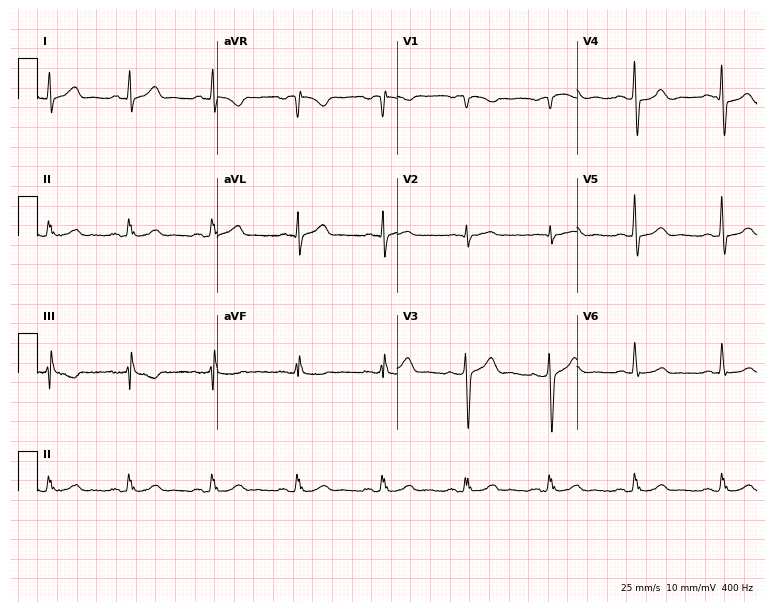
Electrocardiogram, a 57-year-old male patient. Of the six screened findings (first-degree AV block, right bundle branch block, left bundle branch block, sinus bradycardia, atrial fibrillation, sinus tachycardia), none is recorded.